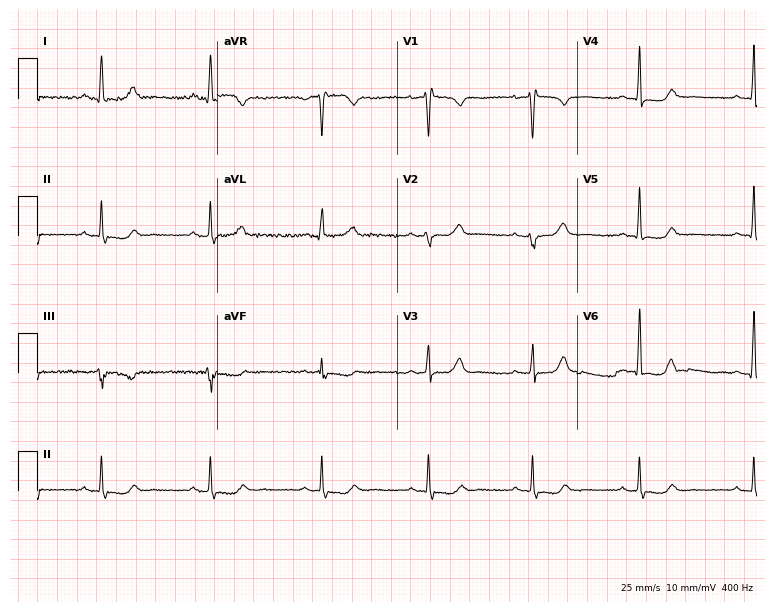
Electrocardiogram, a female, 53 years old. Of the six screened findings (first-degree AV block, right bundle branch block, left bundle branch block, sinus bradycardia, atrial fibrillation, sinus tachycardia), none is recorded.